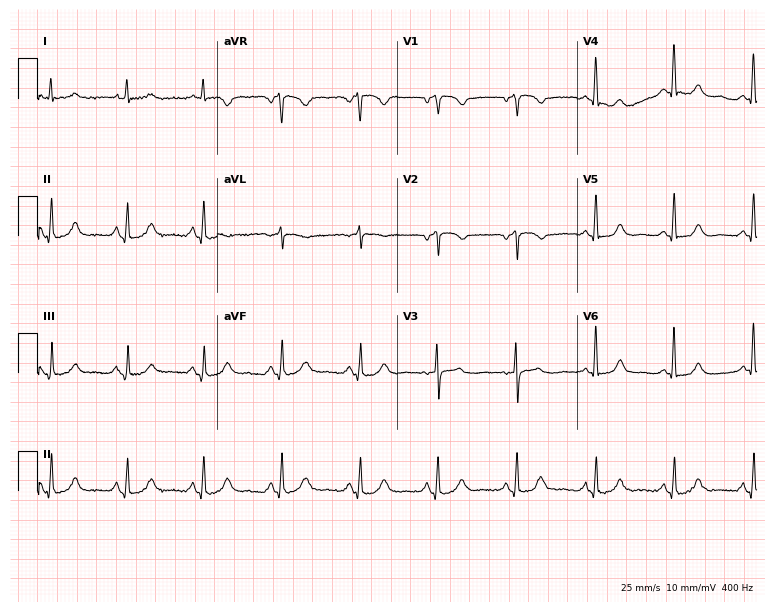
Standard 12-lead ECG recorded from a female, 71 years old (7.3-second recording at 400 Hz). Read as a normal ECG.